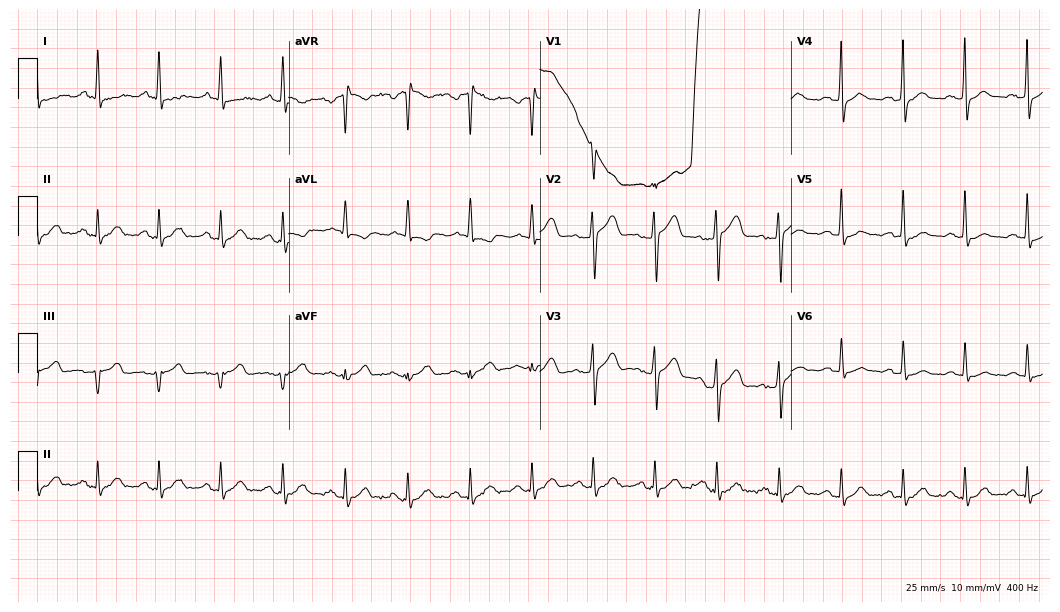
12-lead ECG from a man, 59 years old. Recorded interpretation: within normal limits.